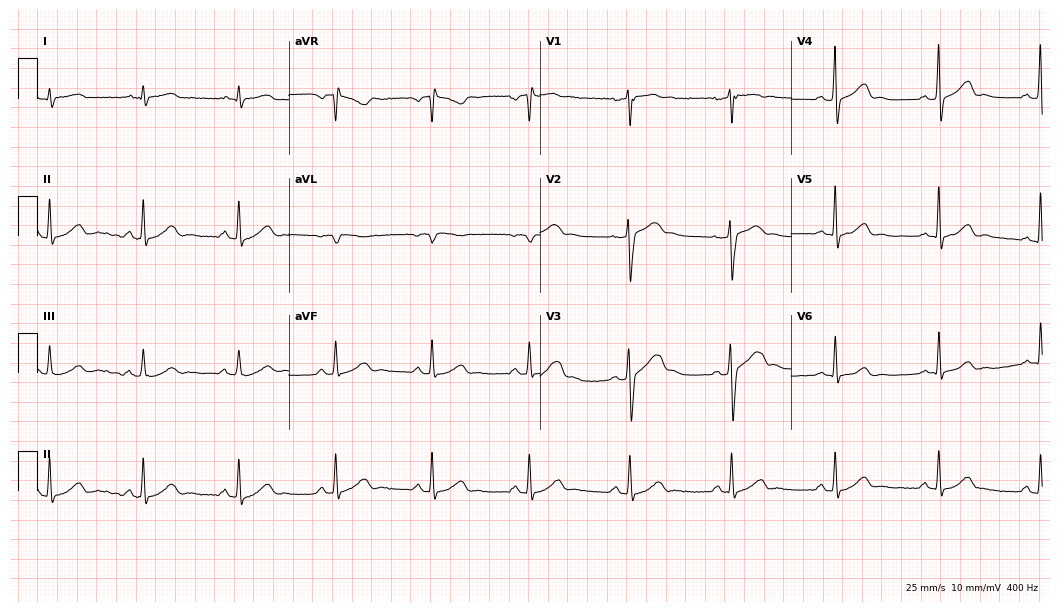
Electrocardiogram, a 56-year-old male patient. Overall reading on record: normal ECG.